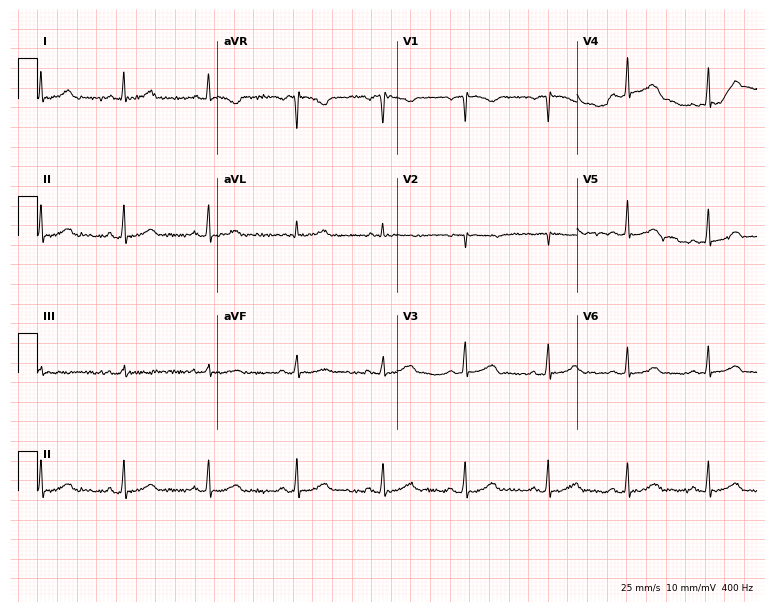
12-lead ECG from a female patient, 34 years old (7.3-second recording at 400 Hz). No first-degree AV block, right bundle branch block (RBBB), left bundle branch block (LBBB), sinus bradycardia, atrial fibrillation (AF) or sinus tachycardia recorded for this tracing. Findings outside these six are not listed.